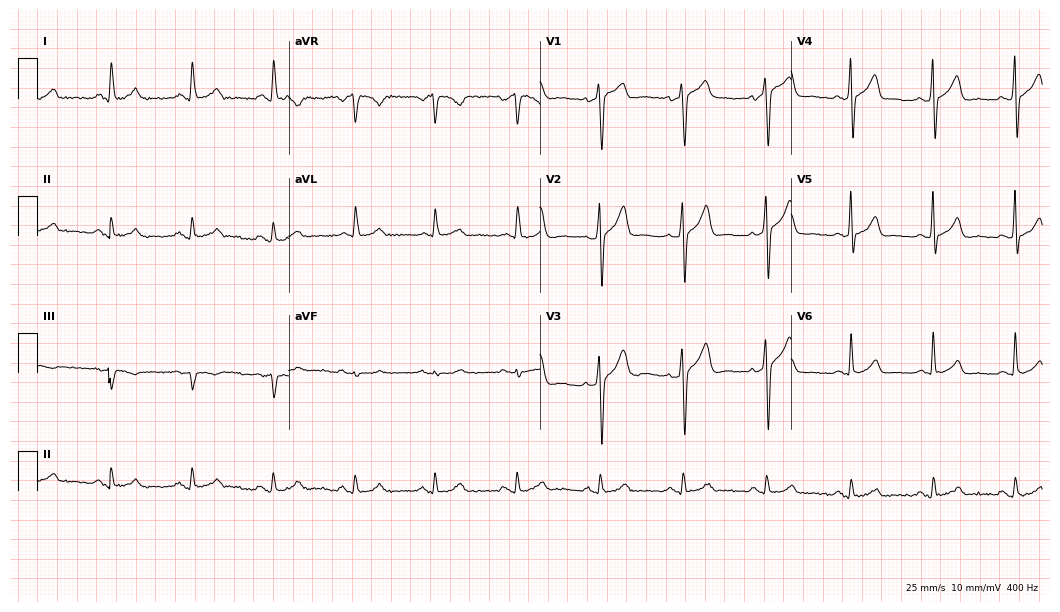
Resting 12-lead electrocardiogram. Patient: a 41-year-old man. Read as a normal ECG.